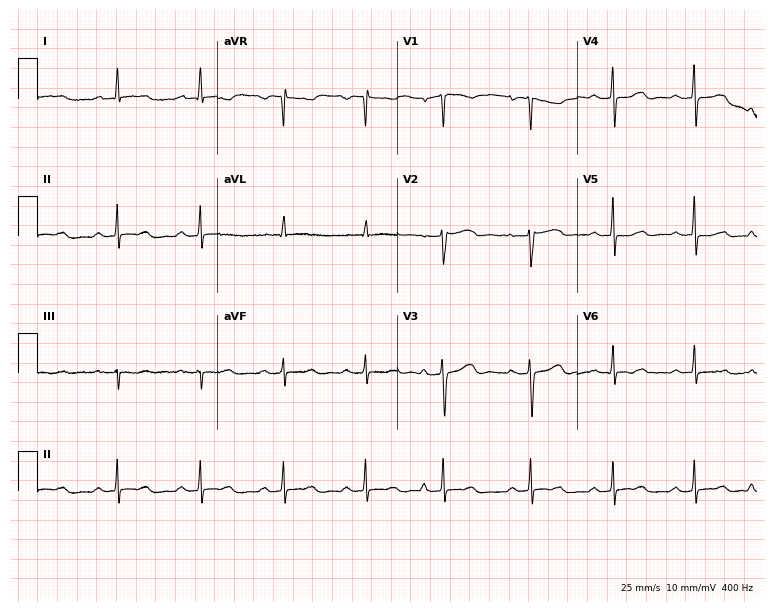
ECG (7.3-second recording at 400 Hz) — a female, 55 years old. Labelled as a normal ECG.